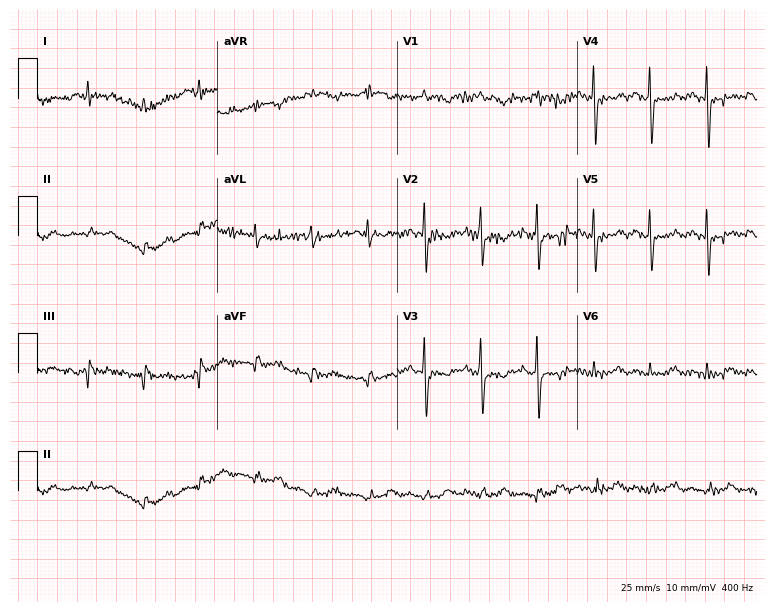
Resting 12-lead electrocardiogram (7.3-second recording at 400 Hz). Patient: a female, 75 years old. None of these six findings is recorded: first-degree AV block, right bundle branch block, left bundle branch block, sinus bradycardia, atrial fibrillation, sinus tachycardia.